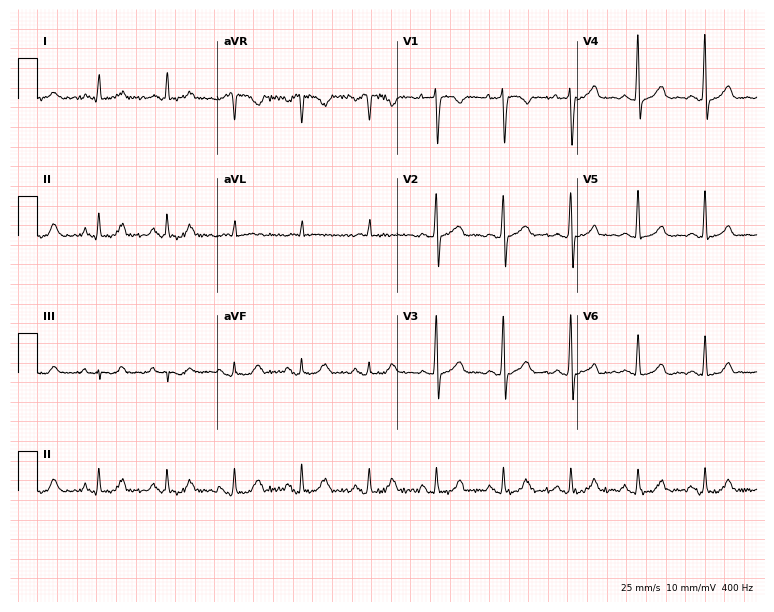
12-lead ECG from a male patient, 56 years old. Labelled as a normal ECG.